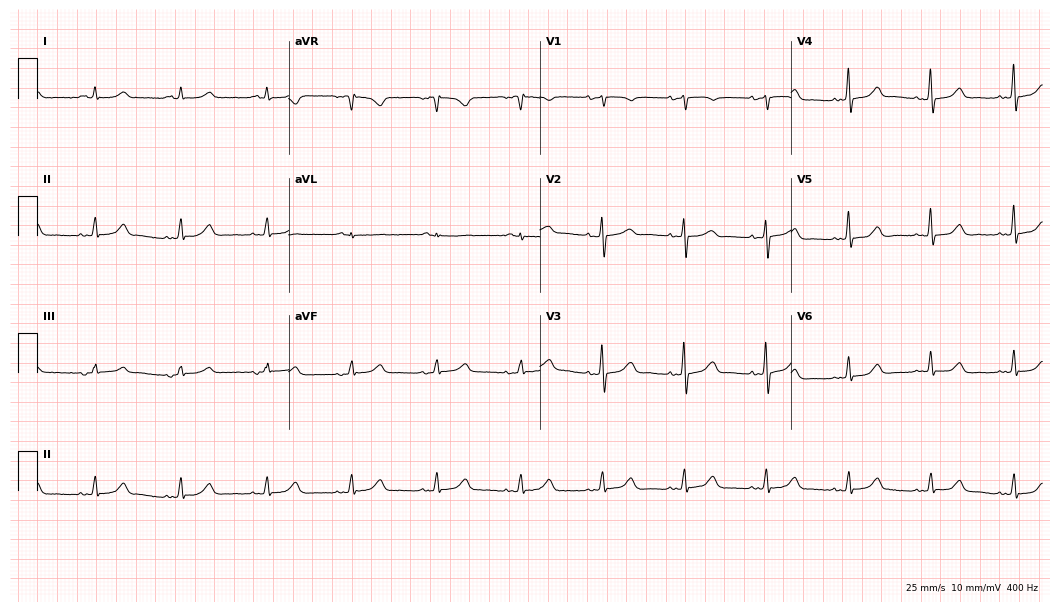
12-lead ECG from a female patient, 73 years old. Labelled as a normal ECG.